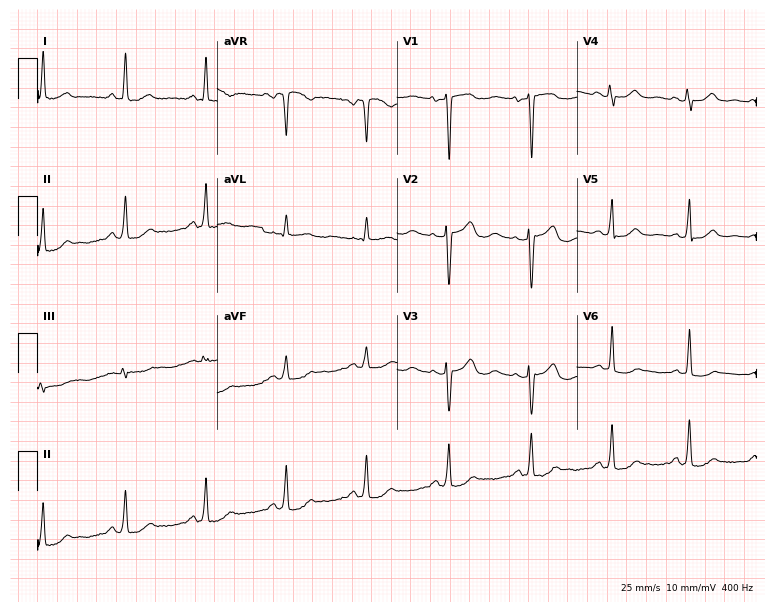
12-lead ECG from a 61-year-old female patient (7.3-second recording at 400 Hz). No first-degree AV block, right bundle branch block (RBBB), left bundle branch block (LBBB), sinus bradycardia, atrial fibrillation (AF) or sinus tachycardia recorded for this tracing.